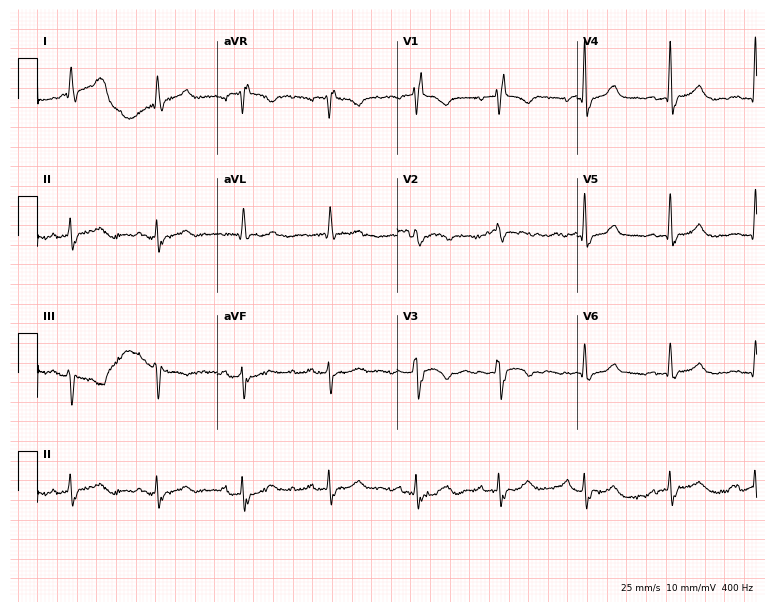
Resting 12-lead electrocardiogram. Patient: a woman, 74 years old. The tracing shows right bundle branch block.